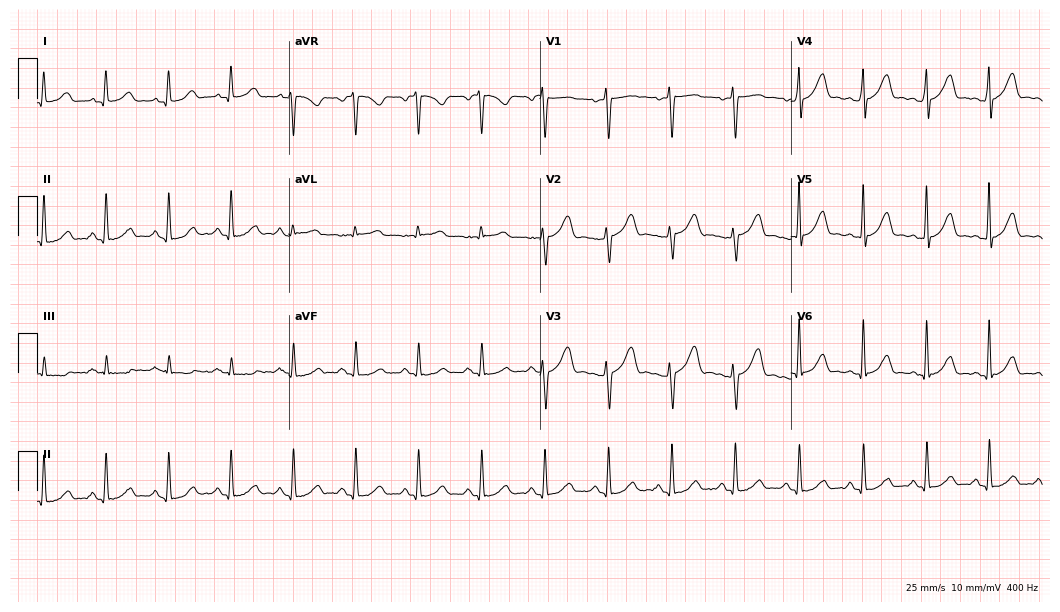
Standard 12-lead ECG recorded from a 25-year-old female patient (10.2-second recording at 400 Hz). Read as a normal ECG.